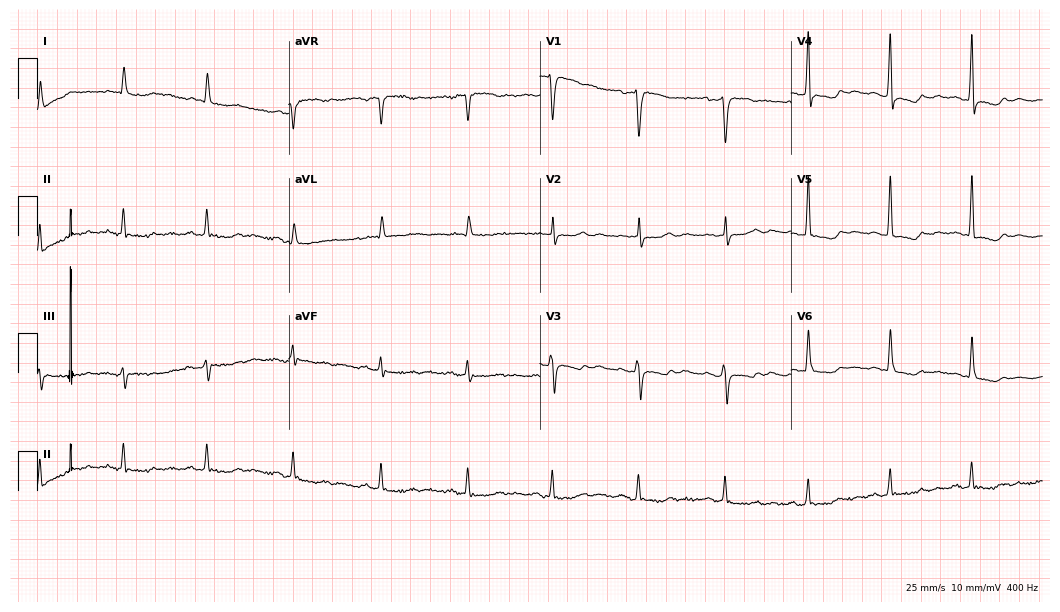
Standard 12-lead ECG recorded from a woman, 81 years old. None of these six findings is recorded: first-degree AV block, right bundle branch block (RBBB), left bundle branch block (LBBB), sinus bradycardia, atrial fibrillation (AF), sinus tachycardia.